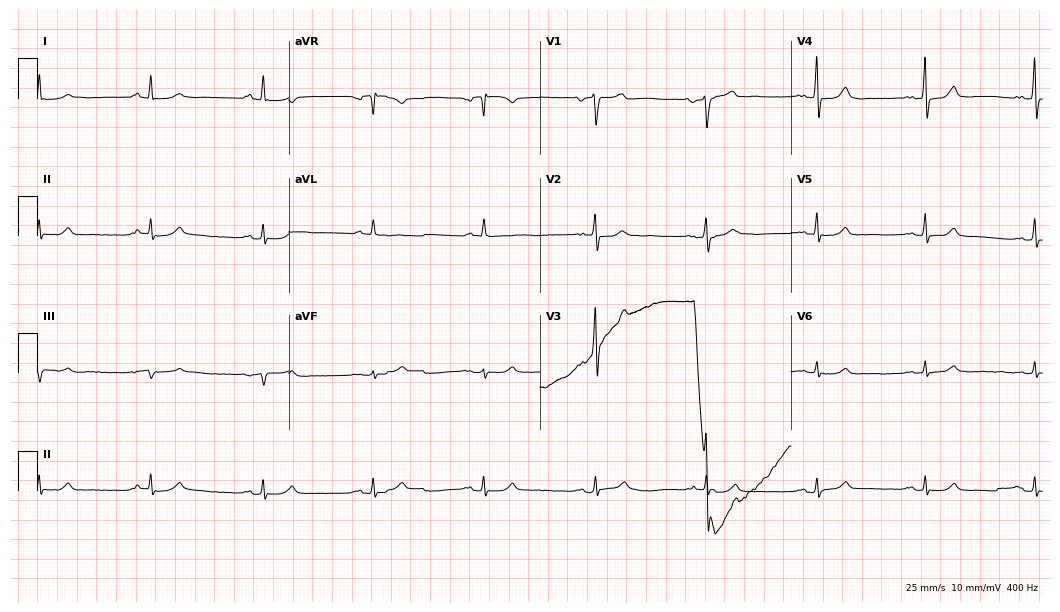
Electrocardiogram (10.2-second recording at 400 Hz), a man, 69 years old. Of the six screened findings (first-degree AV block, right bundle branch block, left bundle branch block, sinus bradycardia, atrial fibrillation, sinus tachycardia), none is recorded.